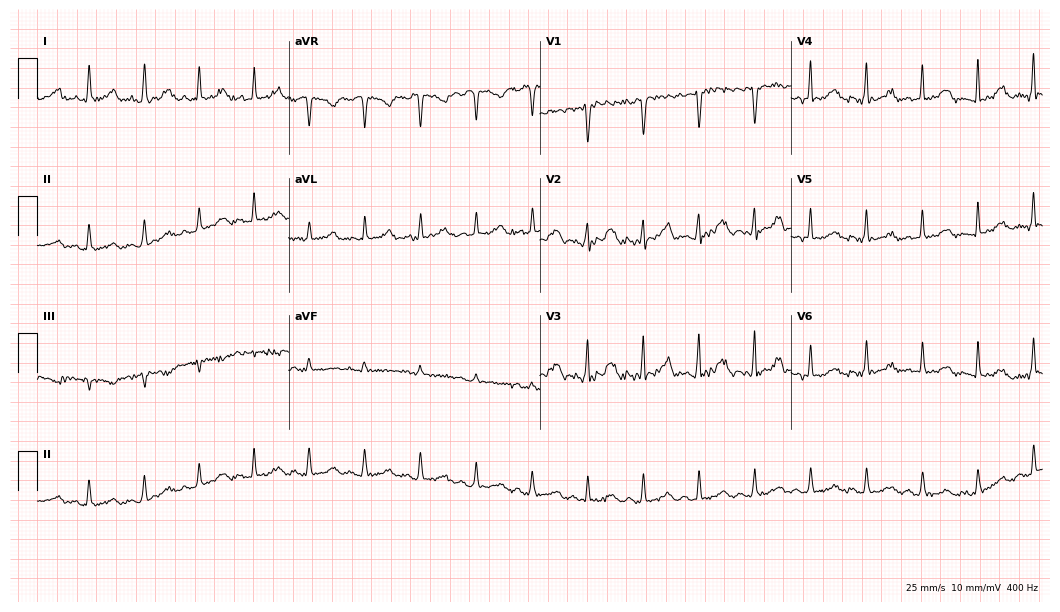
Electrocardiogram (10.2-second recording at 400 Hz), a 34-year-old female. Interpretation includes sinus tachycardia (a sinus rate of 100 beats per minute or more).